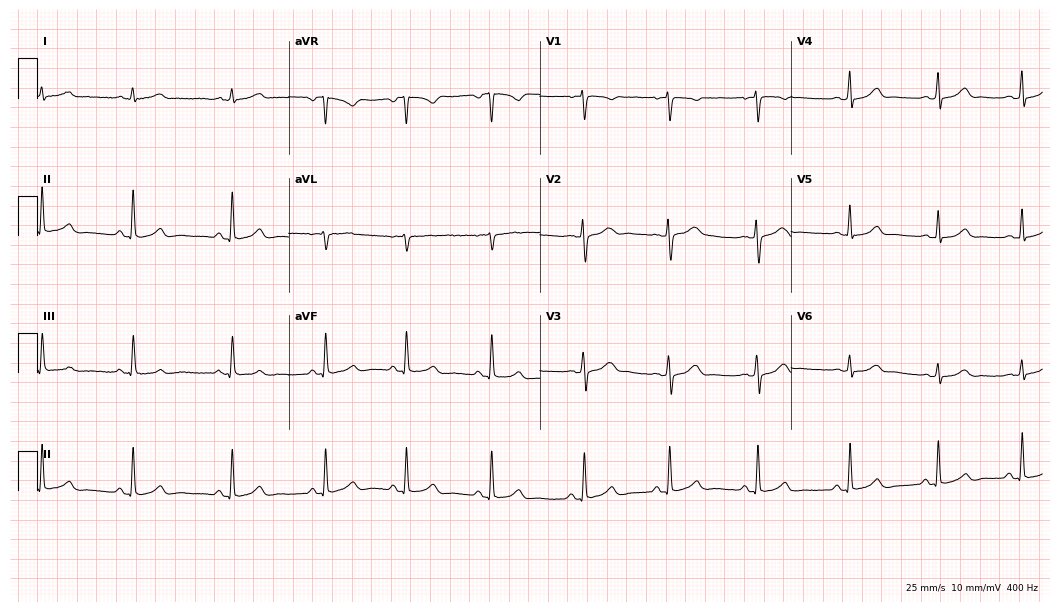
Standard 12-lead ECG recorded from an 18-year-old female. None of these six findings is recorded: first-degree AV block, right bundle branch block, left bundle branch block, sinus bradycardia, atrial fibrillation, sinus tachycardia.